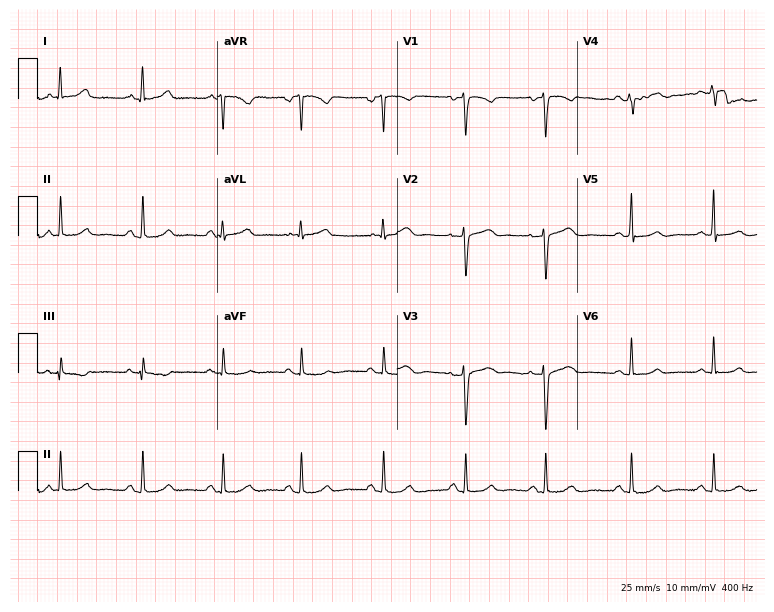
Standard 12-lead ECG recorded from a female patient, 33 years old. Read as a normal ECG.